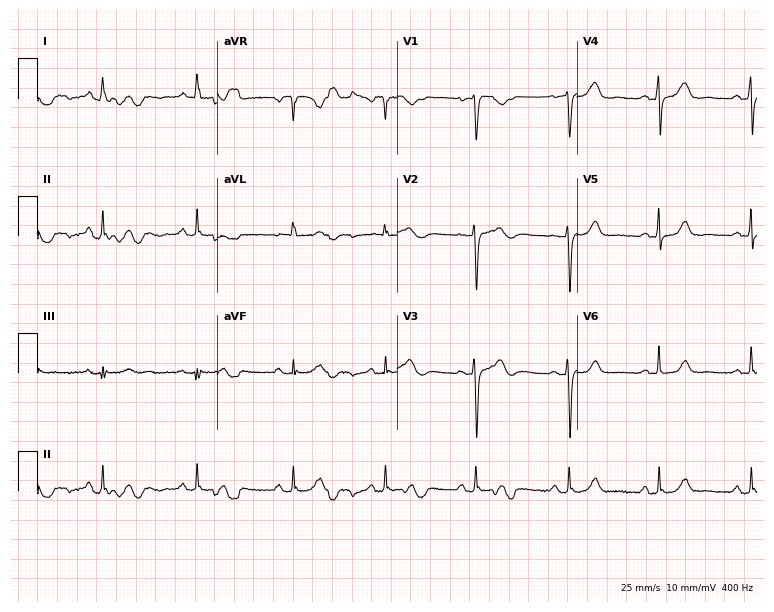
Resting 12-lead electrocardiogram. Patient: a 70-year-old female. Read as a normal ECG.